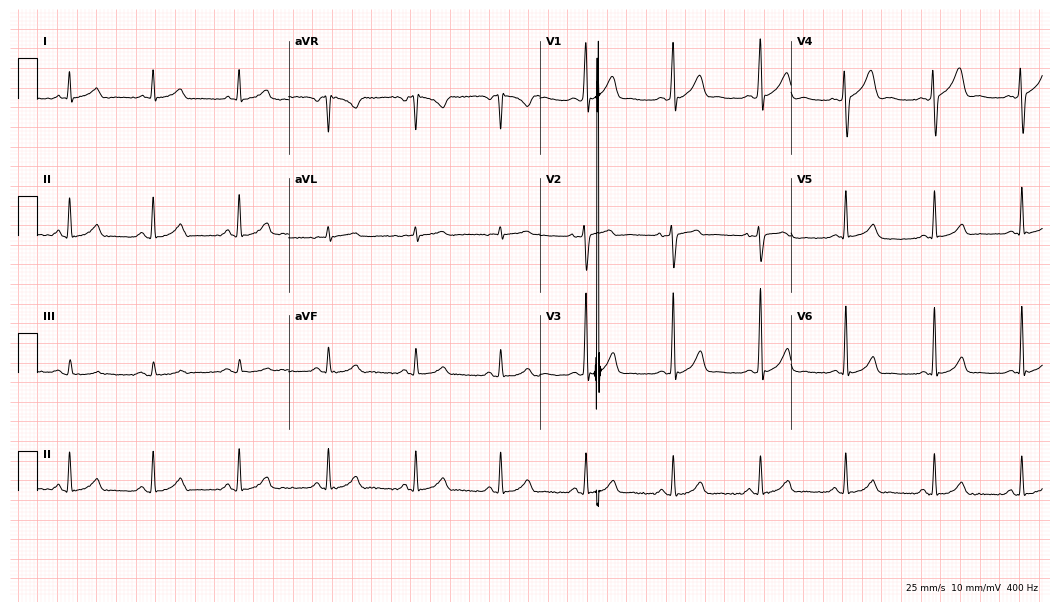
ECG (10.2-second recording at 400 Hz) — a male, 43 years old. Labelled as a normal ECG.